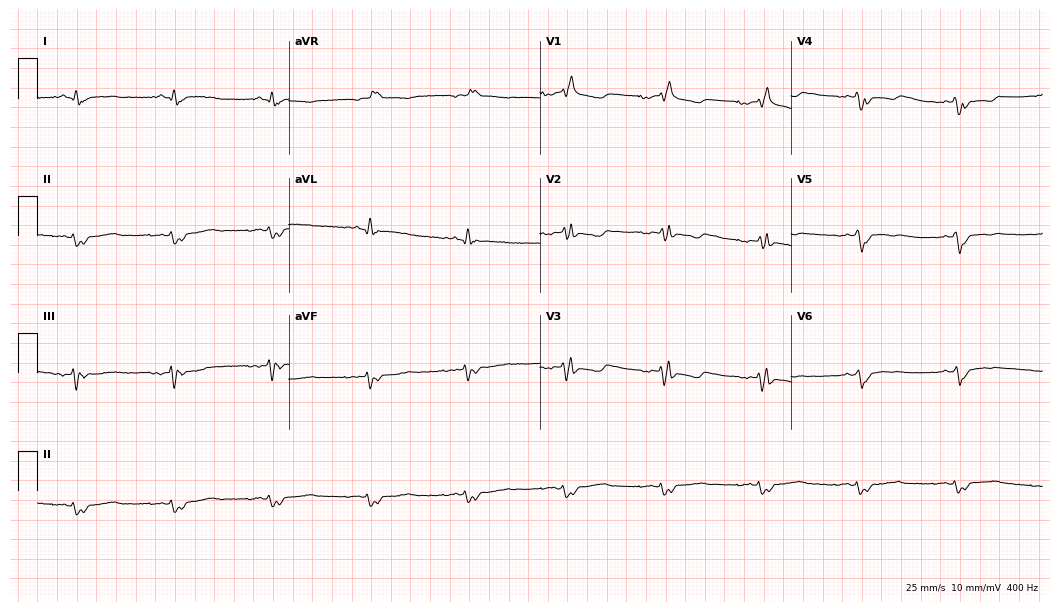
Resting 12-lead electrocardiogram (10.2-second recording at 400 Hz). Patient: a 65-year-old man. The tracing shows right bundle branch block.